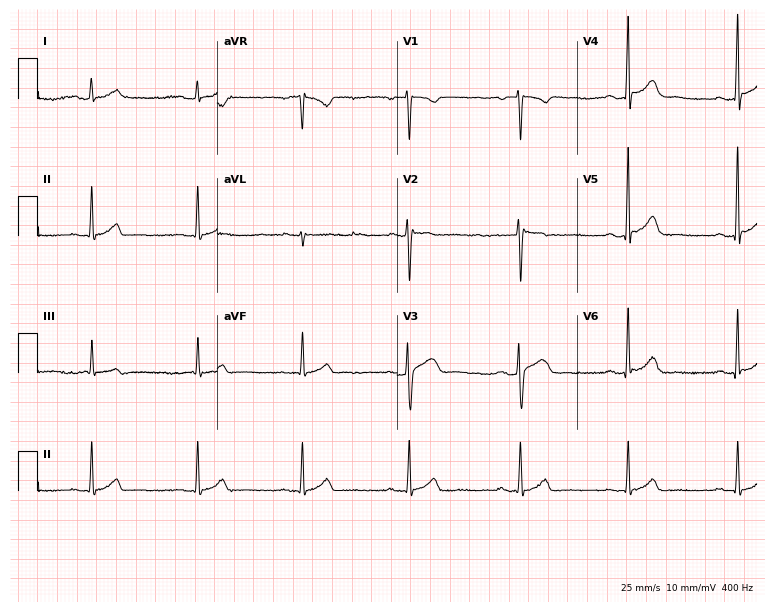
Standard 12-lead ECG recorded from a 46-year-old male (7.3-second recording at 400 Hz). Read as a normal ECG.